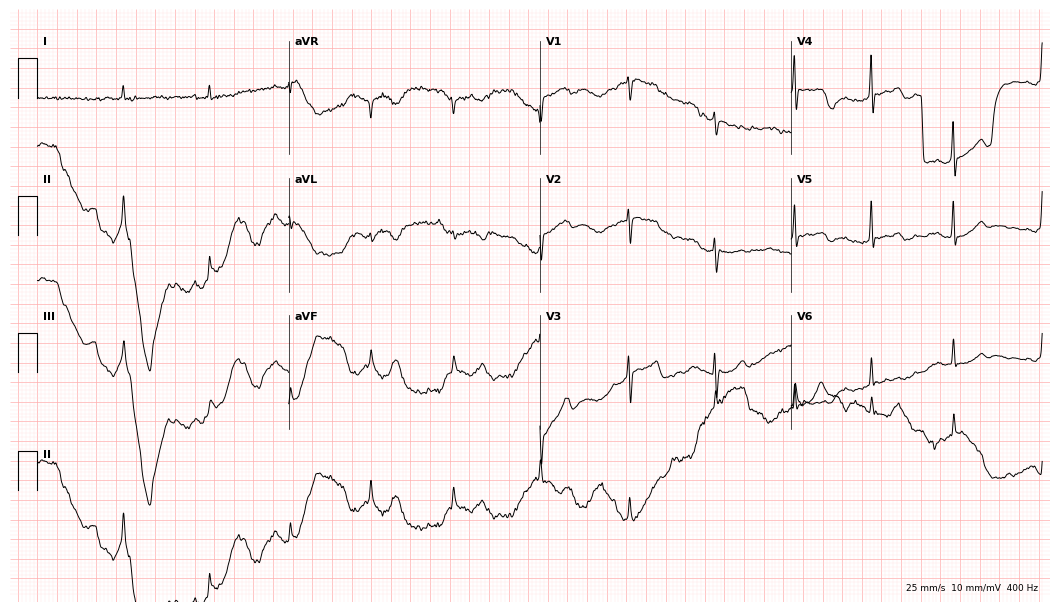
ECG (10.2-second recording at 400 Hz) — a female patient, 69 years old. Labelled as a normal ECG.